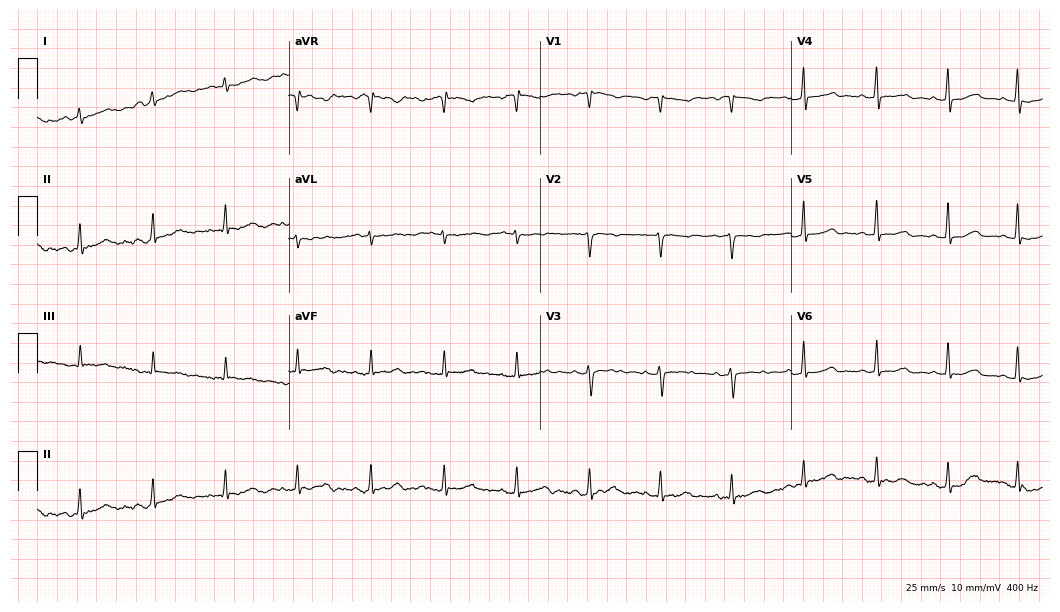
Standard 12-lead ECG recorded from a female patient, 34 years old (10.2-second recording at 400 Hz). None of these six findings is recorded: first-degree AV block, right bundle branch block, left bundle branch block, sinus bradycardia, atrial fibrillation, sinus tachycardia.